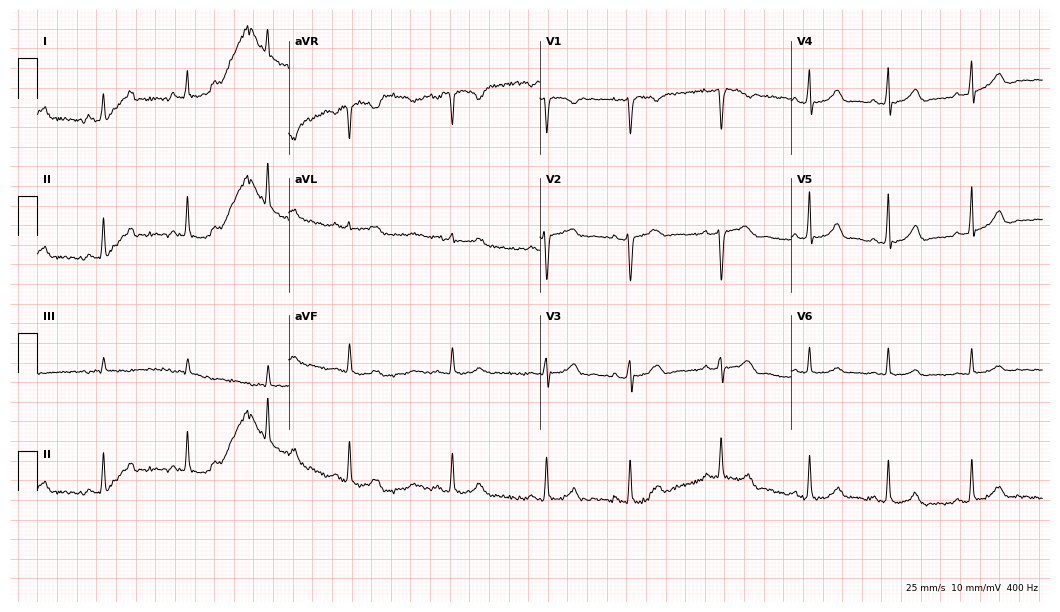
Resting 12-lead electrocardiogram (10.2-second recording at 400 Hz). Patient: a woman, 27 years old. Read as a normal ECG.